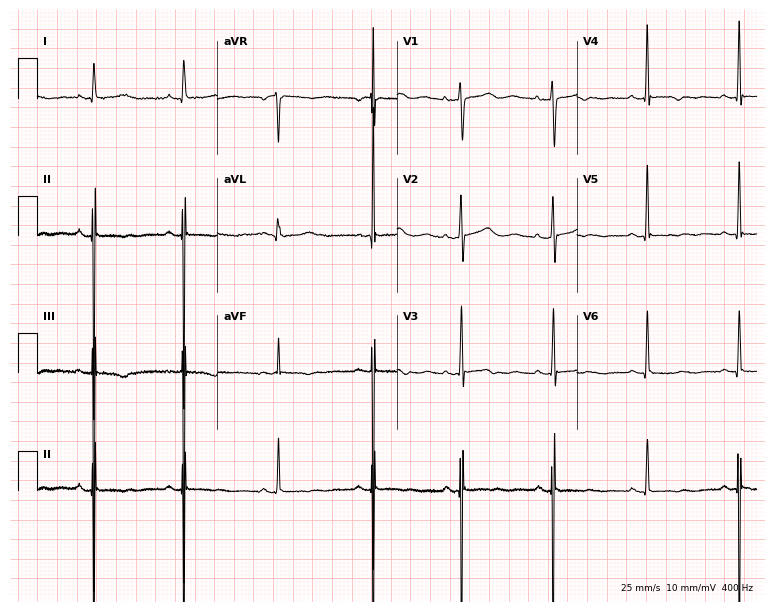
Electrocardiogram, a 34-year-old woman. Of the six screened findings (first-degree AV block, right bundle branch block (RBBB), left bundle branch block (LBBB), sinus bradycardia, atrial fibrillation (AF), sinus tachycardia), none is recorded.